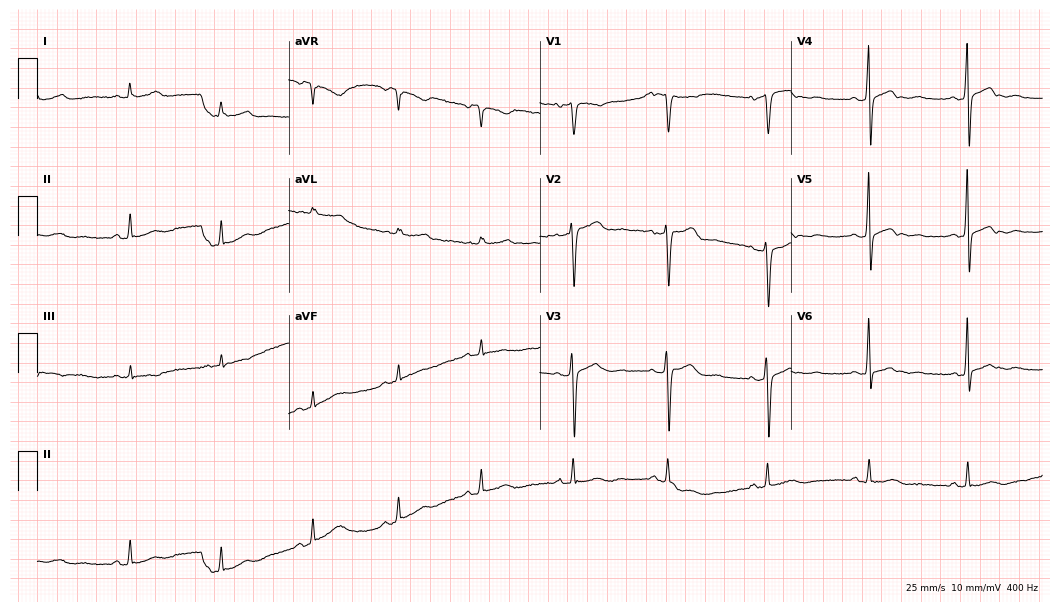
Electrocardiogram, a 60-year-old male. Of the six screened findings (first-degree AV block, right bundle branch block, left bundle branch block, sinus bradycardia, atrial fibrillation, sinus tachycardia), none is recorded.